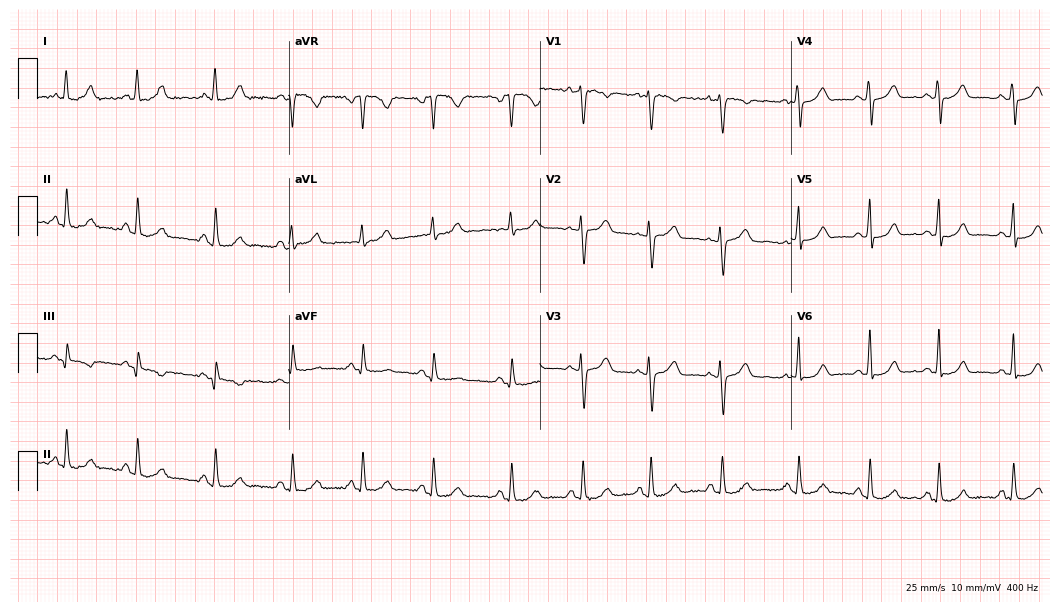
Standard 12-lead ECG recorded from a woman, 23 years old (10.2-second recording at 400 Hz). Read as a normal ECG.